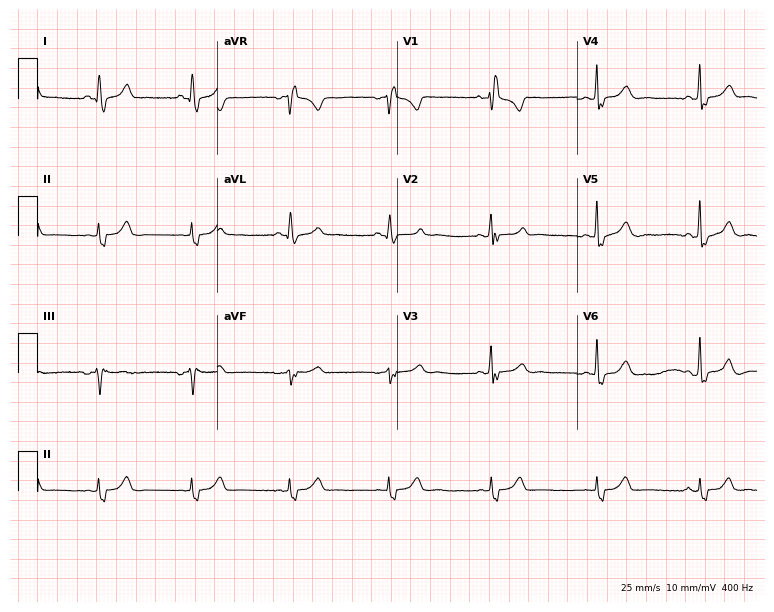
ECG — a male, 55 years old. Screened for six findings — first-degree AV block, right bundle branch block, left bundle branch block, sinus bradycardia, atrial fibrillation, sinus tachycardia — none is recorded.